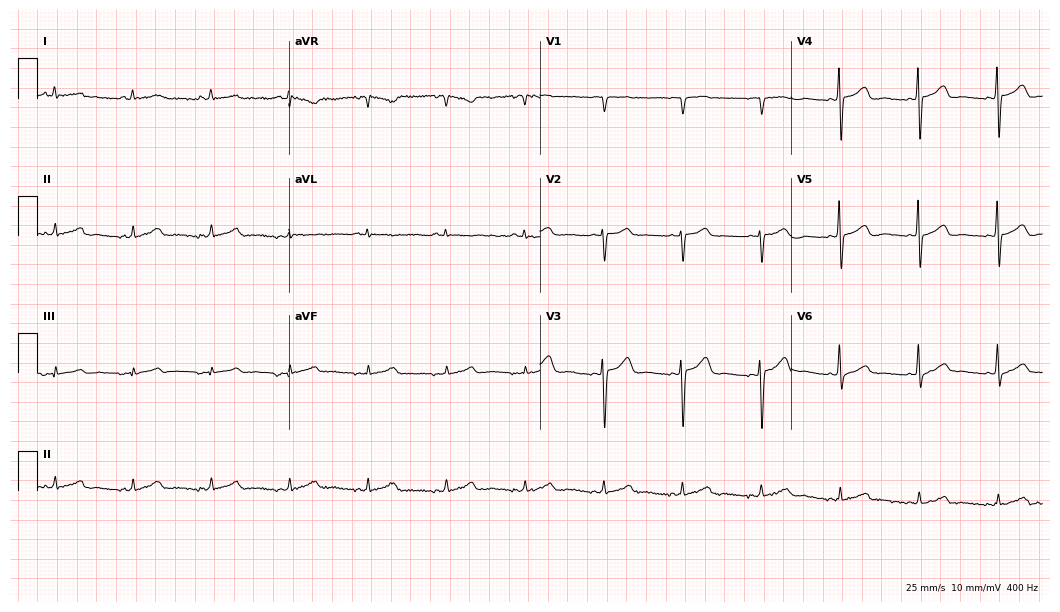
Resting 12-lead electrocardiogram (10.2-second recording at 400 Hz). Patient: a male, 59 years old. None of these six findings is recorded: first-degree AV block, right bundle branch block, left bundle branch block, sinus bradycardia, atrial fibrillation, sinus tachycardia. Other findings, if any, are not listed.